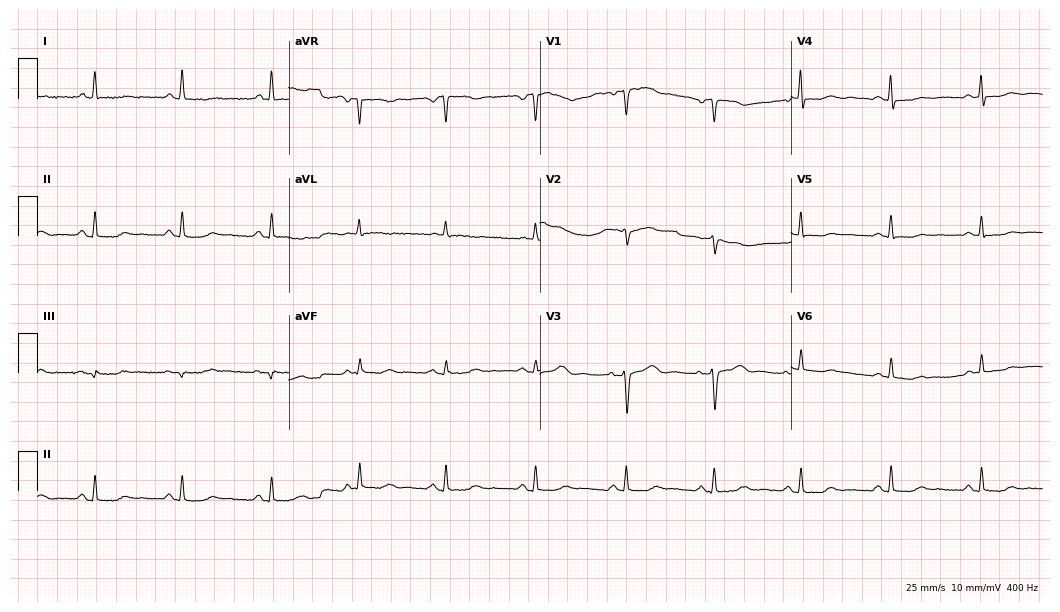
Electrocardiogram (10.2-second recording at 400 Hz), a female patient, 61 years old. Overall reading on record: normal ECG.